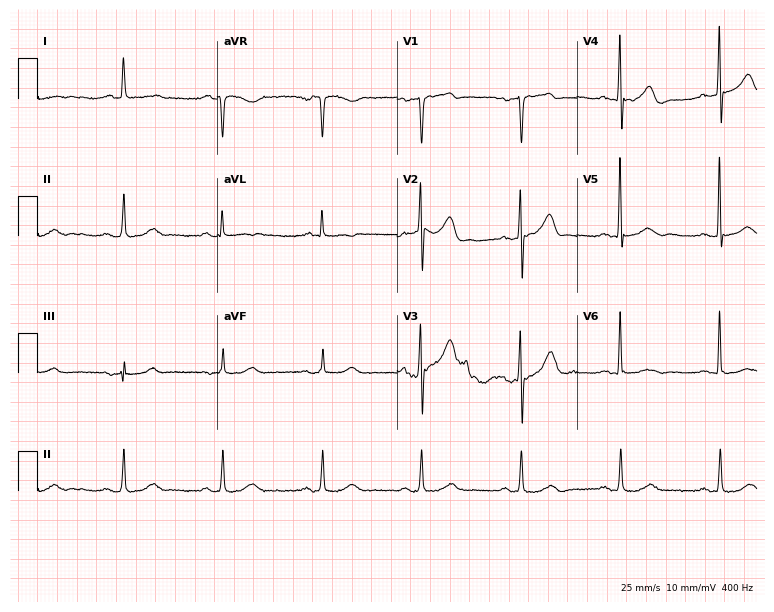
Standard 12-lead ECG recorded from a 76-year-old man. None of these six findings is recorded: first-degree AV block, right bundle branch block (RBBB), left bundle branch block (LBBB), sinus bradycardia, atrial fibrillation (AF), sinus tachycardia.